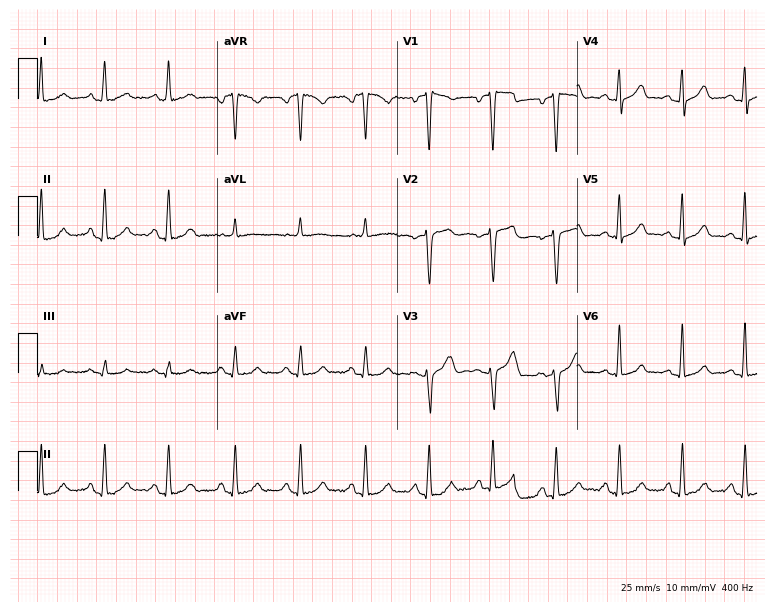
Standard 12-lead ECG recorded from a 41-year-old male. Read as a normal ECG.